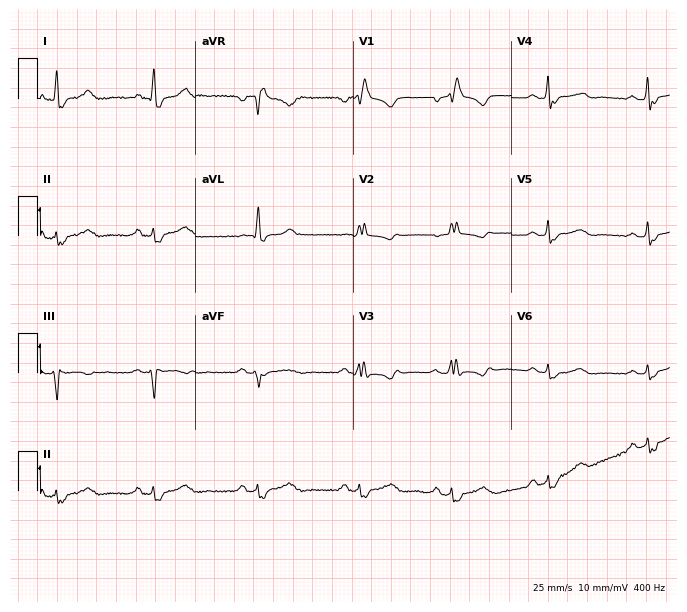
ECG (6.4-second recording at 400 Hz) — a 59-year-old woman. Findings include right bundle branch block (RBBB).